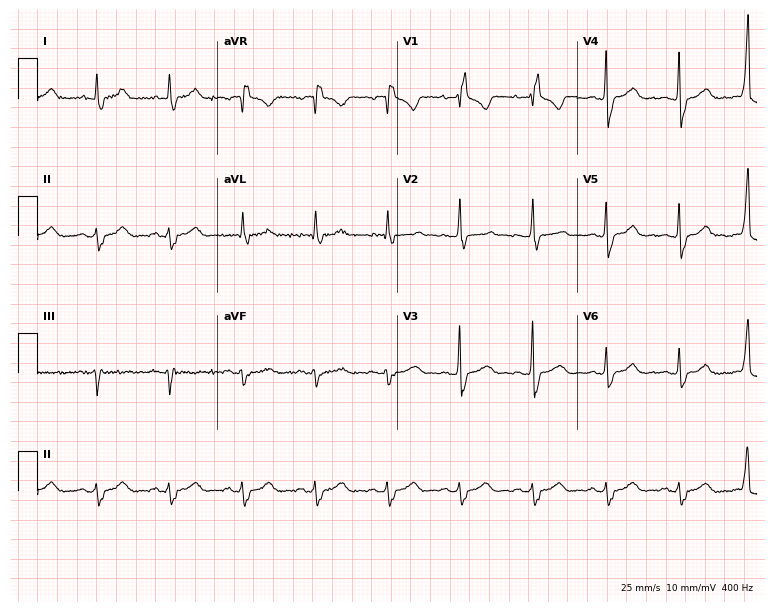
Electrocardiogram (7.3-second recording at 400 Hz), a female patient, 44 years old. Interpretation includes right bundle branch block (RBBB).